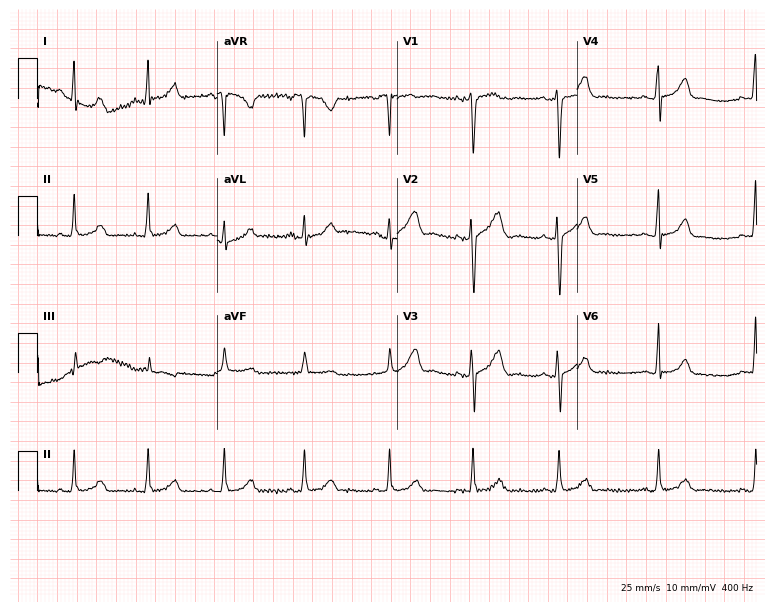
Standard 12-lead ECG recorded from an 18-year-old female patient. None of these six findings is recorded: first-degree AV block, right bundle branch block, left bundle branch block, sinus bradycardia, atrial fibrillation, sinus tachycardia.